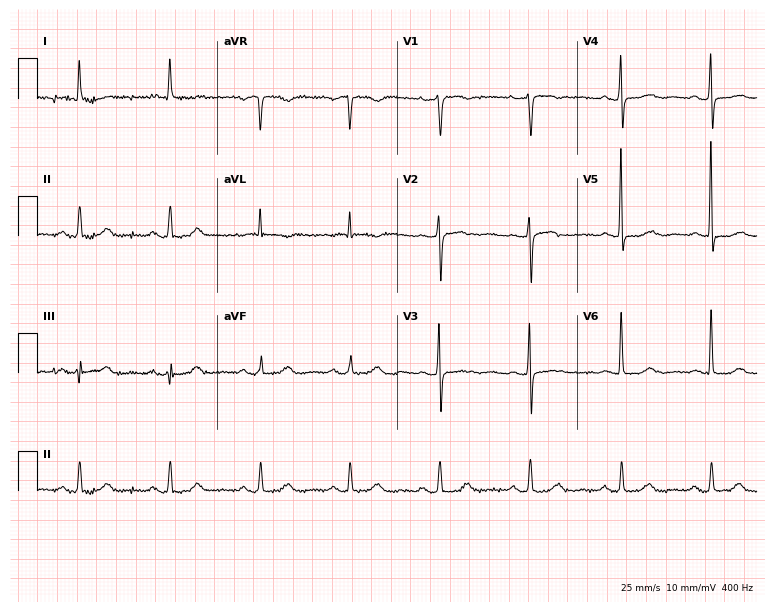
ECG — a 75-year-old female. Screened for six findings — first-degree AV block, right bundle branch block, left bundle branch block, sinus bradycardia, atrial fibrillation, sinus tachycardia — none is recorded. Only these six findings were labelled.